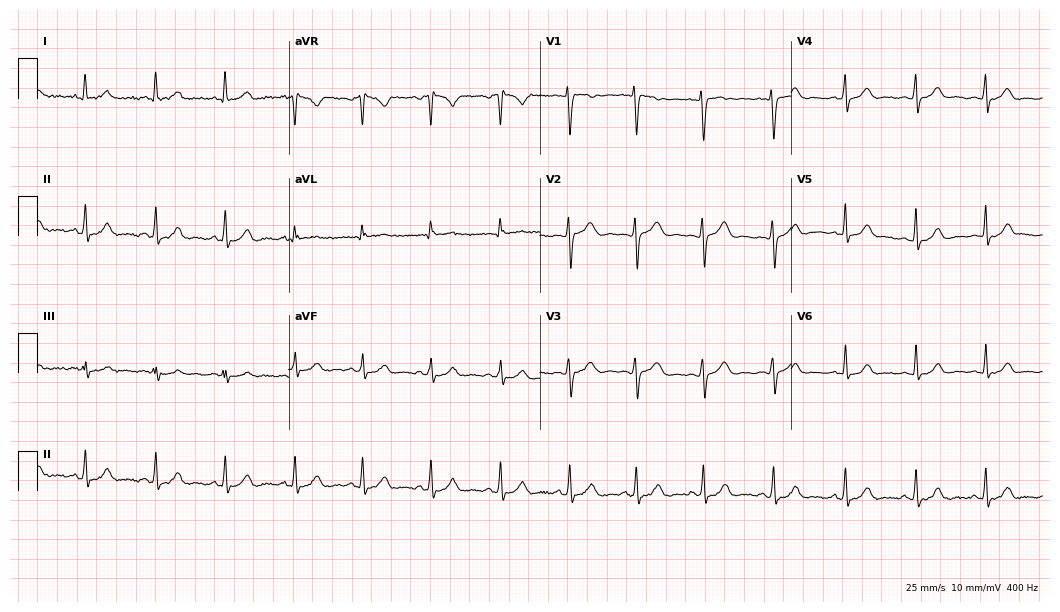
Standard 12-lead ECG recorded from a 23-year-old female patient (10.2-second recording at 400 Hz). Read as a normal ECG.